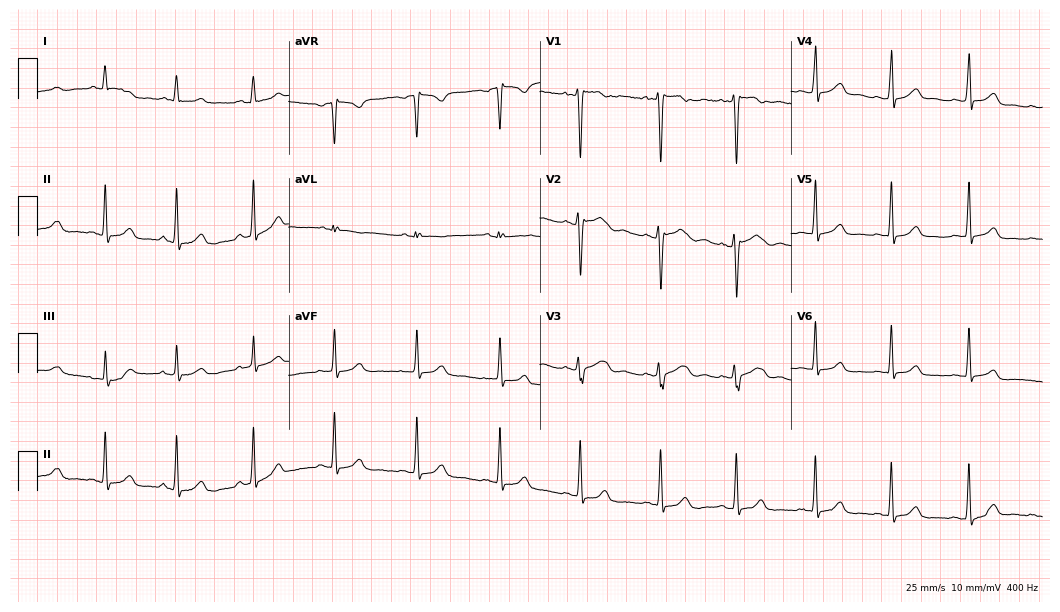
Electrocardiogram, a female patient, 26 years old. Of the six screened findings (first-degree AV block, right bundle branch block (RBBB), left bundle branch block (LBBB), sinus bradycardia, atrial fibrillation (AF), sinus tachycardia), none is recorded.